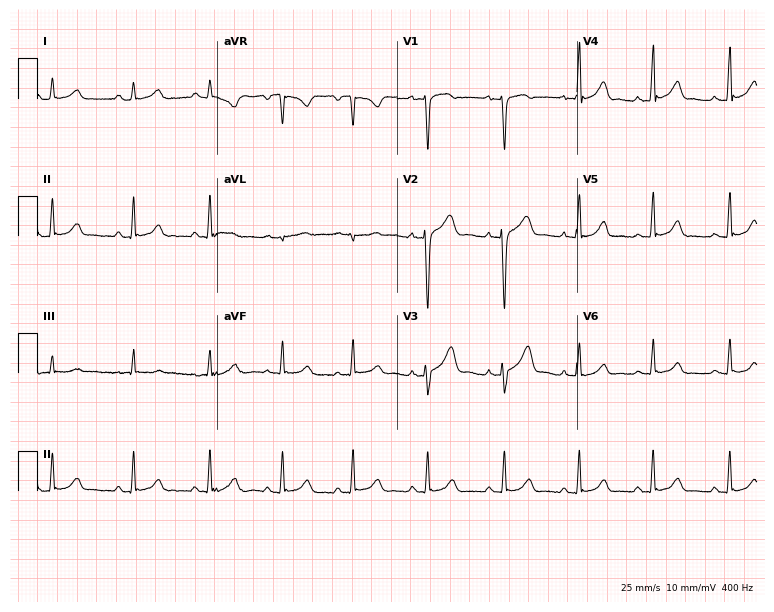
Resting 12-lead electrocardiogram. Patient: a 24-year-old female. Read as a normal ECG.